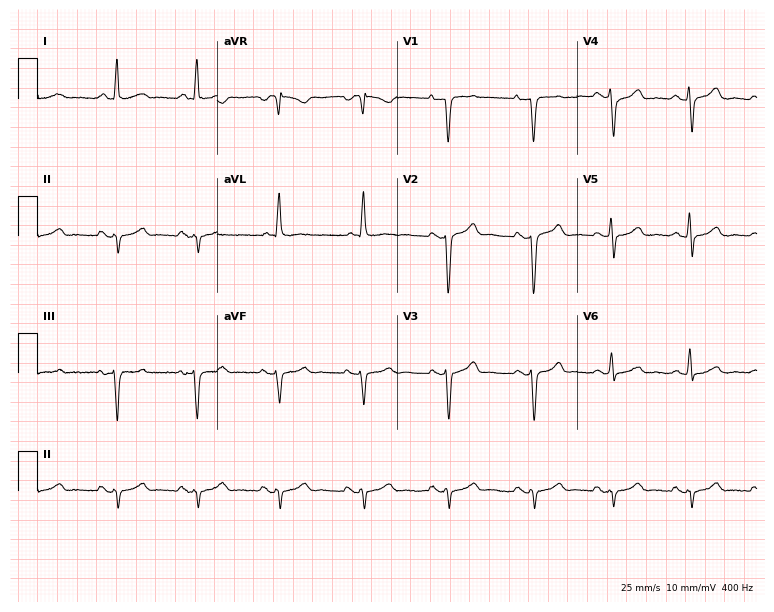
12-lead ECG (7.3-second recording at 400 Hz) from a male patient, 57 years old. Screened for six findings — first-degree AV block, right bundle branch block (RBBB), left bundle branch block (LBBB), sinus bradycardia, atrial fibrillation (AF), sinus tachycardia — none is recorded.